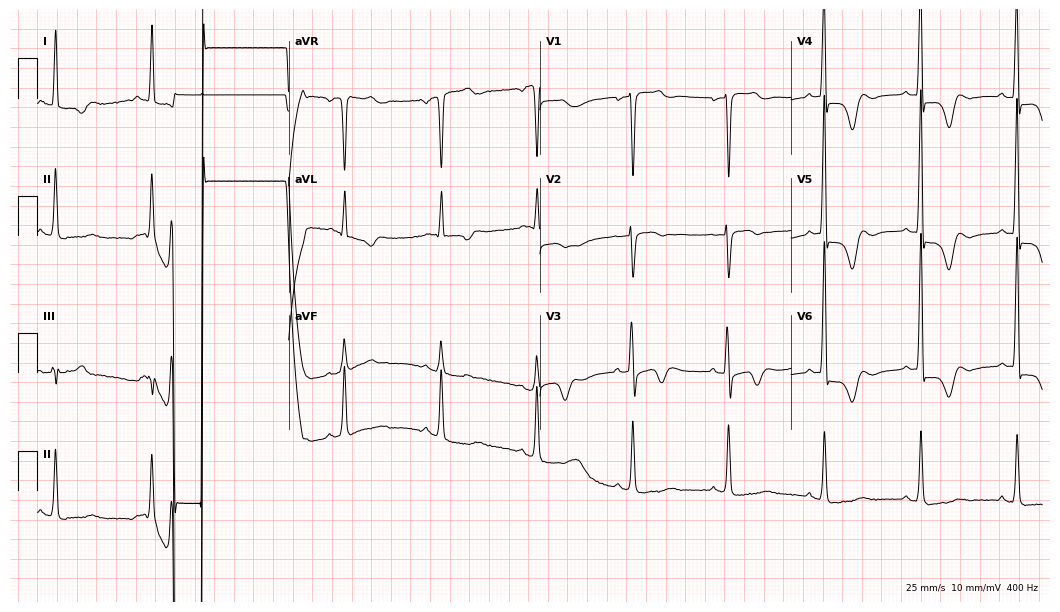
12-lead ECG from an 84-year-old male. Screened for six findings — first-degree AV block, right bundle branch block, left bundle branch block, sinus bradycardia, atrial fibrillation, sinus tachycardia — none is recorded. Findings outside these six are not listed.